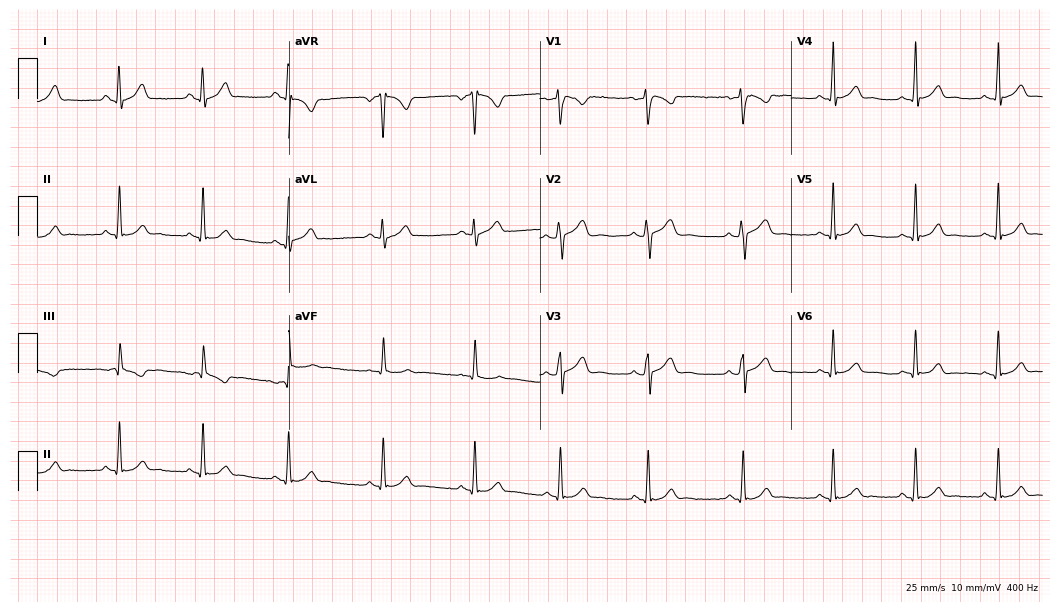
ECG (10.2-second recording at 400 Hz) — a 23-year-old female patient. Labelled as a normal ECG.